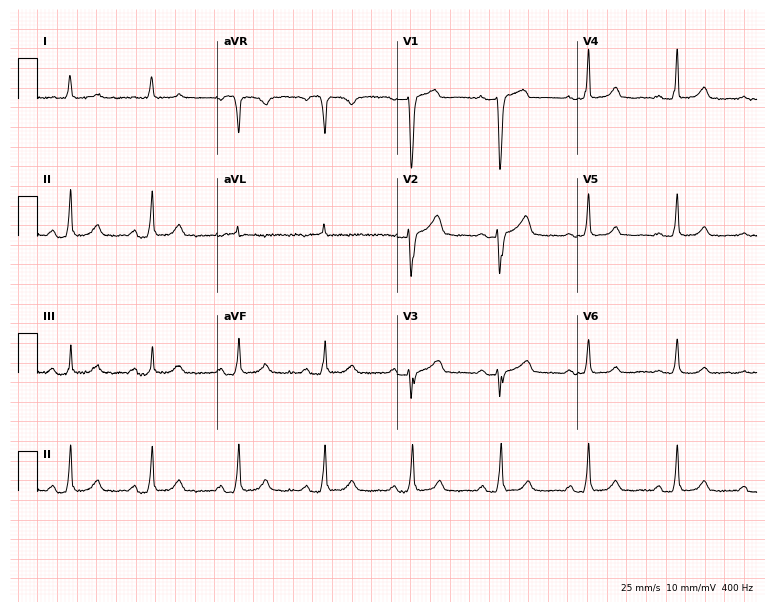
Standard 12-lead ECG recorded from a woman, 79 years old (7.3-second recording at 400 Hz). None of these six findings is recorded: first-degree AV block, right bundle branch block, left bundle branch block, sinus bradycardia, atrial fibrillation, sinus tachycardia. Only these six findings were labelled.